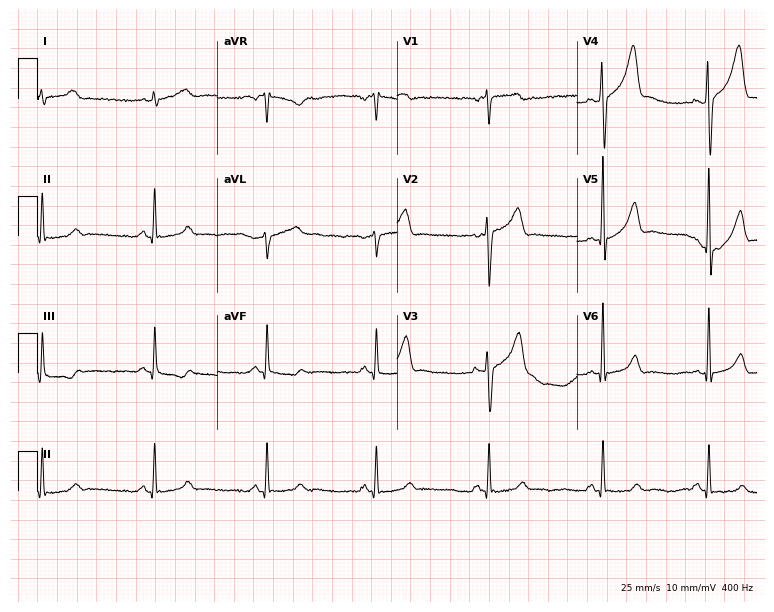
Resting 12-lead electrocardiogram. Patient: a 44-year-old male. Read as a normal ECG.